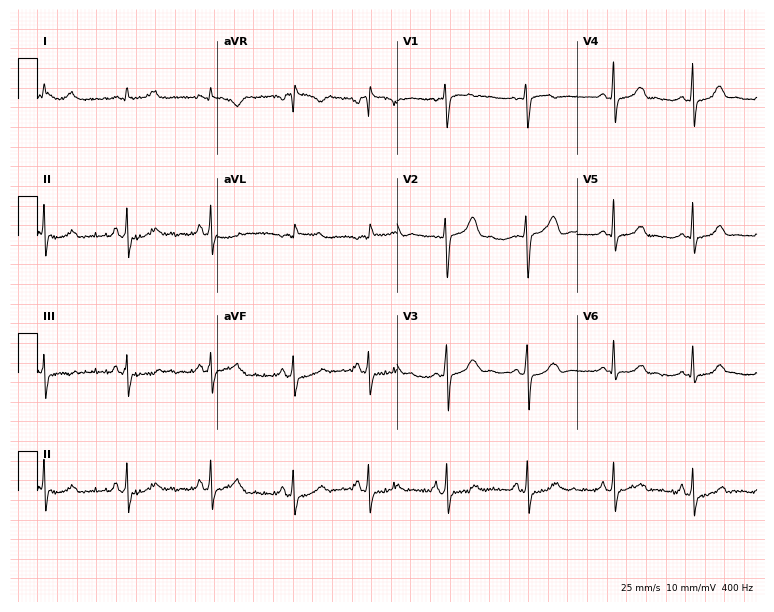
12-lead ECG from a 22-year-old female (7.3-second recording at 400 Hz). No first-degree AV block, right bundle branch block (RBBB), left bundle branch block (LBBB), sinus bradycardia, atrial fibrillation (AF) or sinus tachycardia recorded for this tracing.